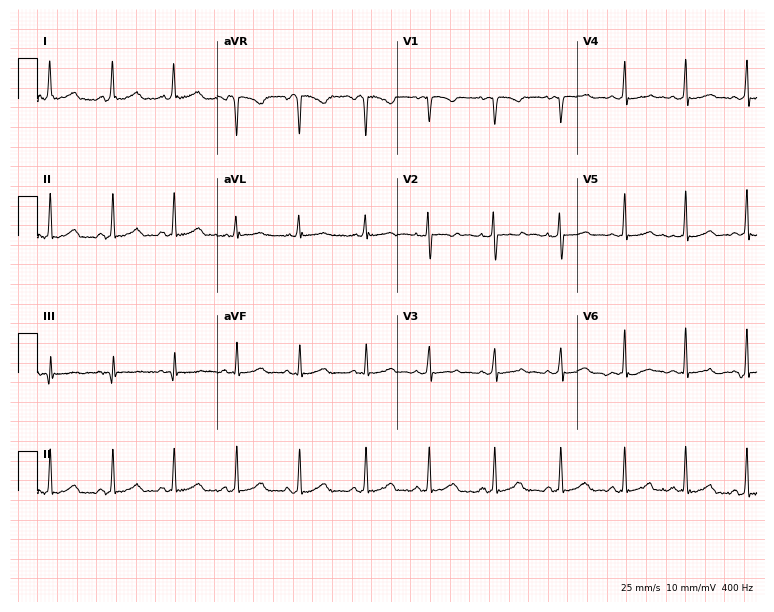
12-lead ECG from an 18-year-old woman (7.3-second recording at 400 Hz). Recorded interpretation: within normal limits.